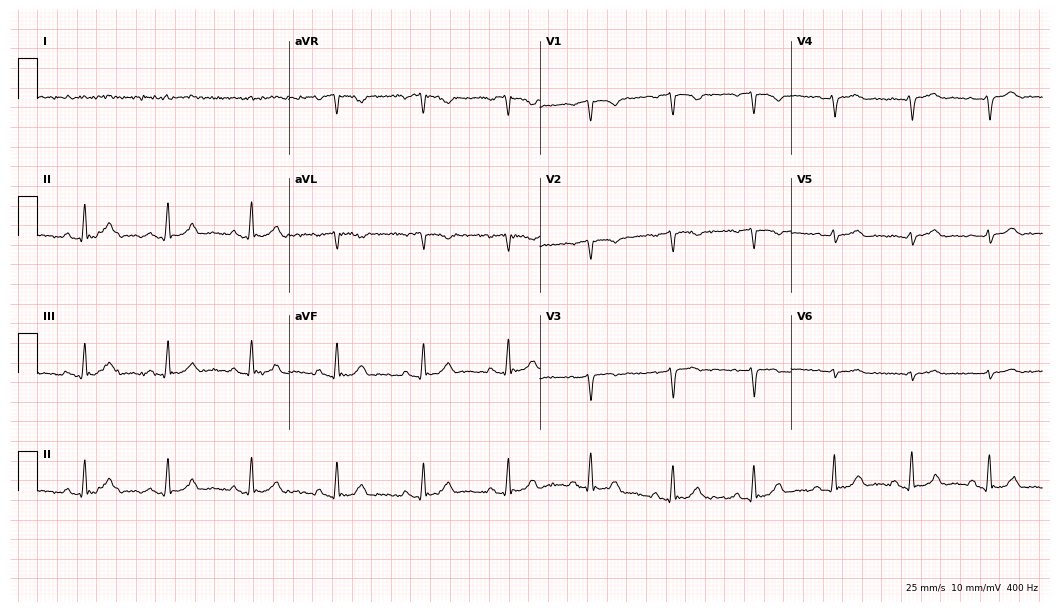
12-lead ECG from a 60-year-old man. No first-degree AV block, right bundle branch block, left bundle branch block, sinus bradycardia, atrial fibrillation or sinus tachycardia recorded for this tracing.